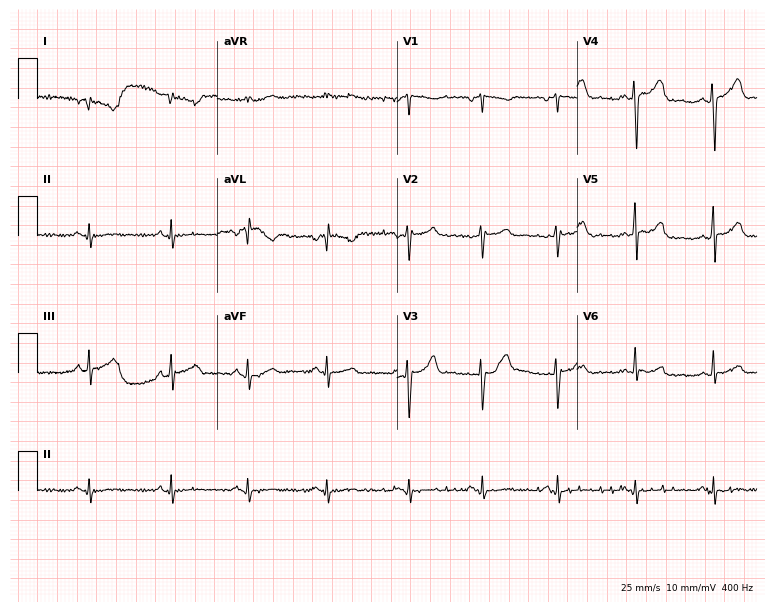
12-lead ECG from a woman, 43 years old. Screened for six findings — first-degree AV block, right bundle branch block, left bundle branch block, sinus bradycardia, atrial fibrillation, sinus tachycardia — none is recorded. Only these six findings were labelled.